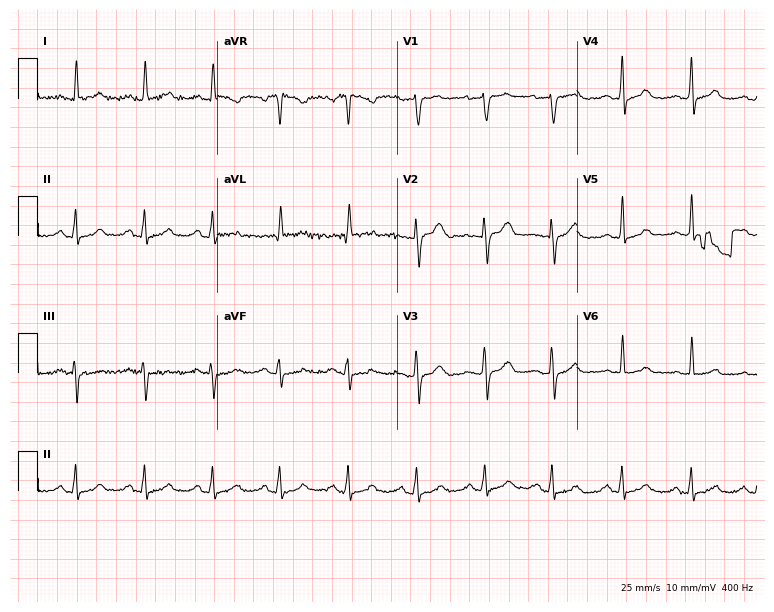
Resting 12-lead electrocardiogram (7.3-second recording at 400 Hz). Patient: a female, 56 years old. Read as a normal ECG.